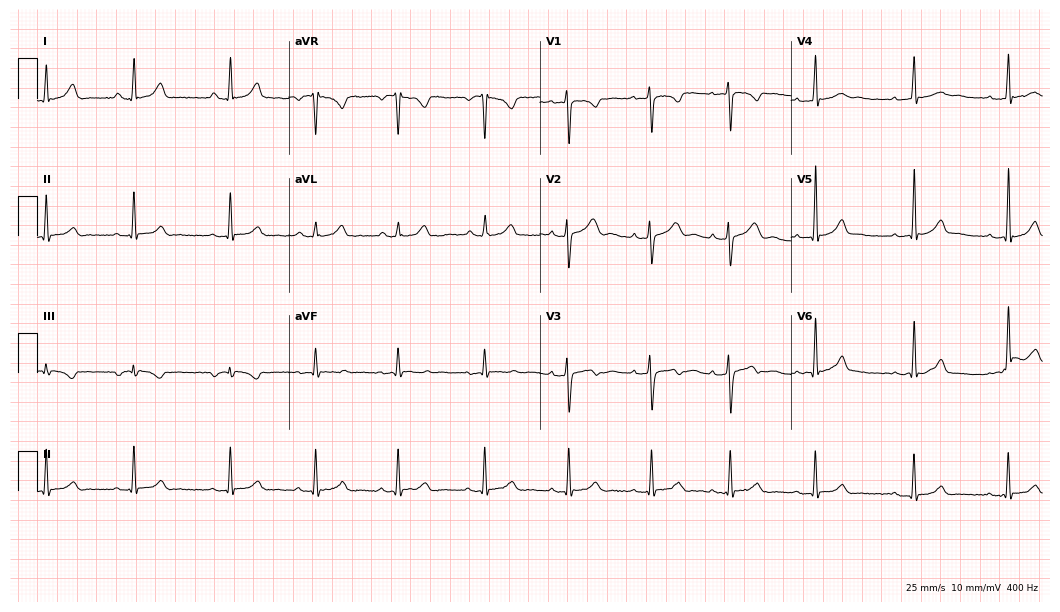
Standard 12-lead ECG recorded from a 24-year-old female. None of these six findings is recorded: first-degree AV block, right bundle branch block (RBBB), left bundle branch block (LBBB), sinus bradycardia, atrial fibrillation (AF), sinus tachycardia. Other findings, if any, are not listed.